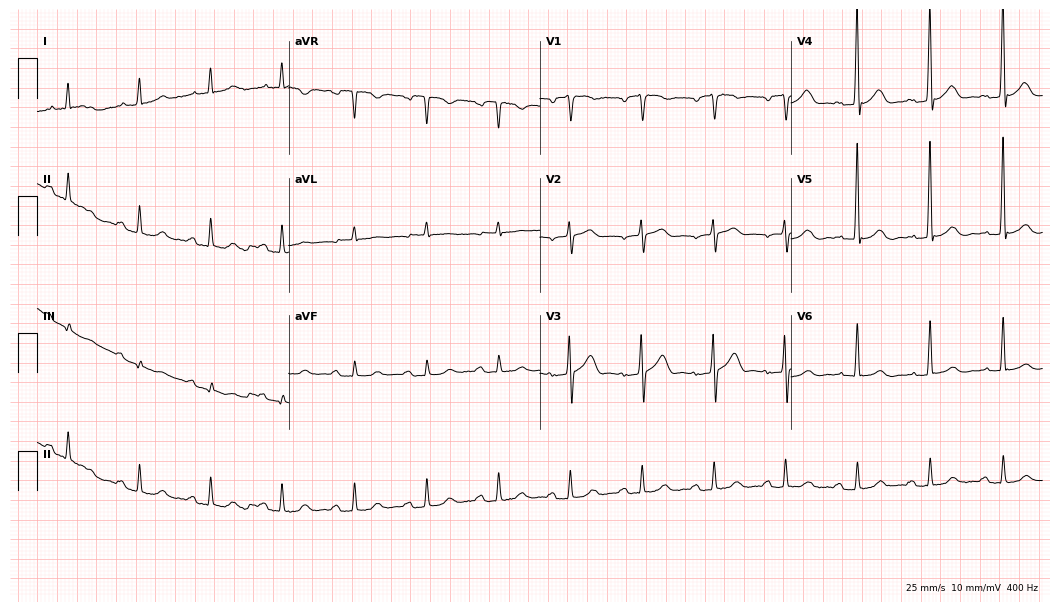
12-lead ECG from a man, 82 years old. Labelled as a normal ECG.